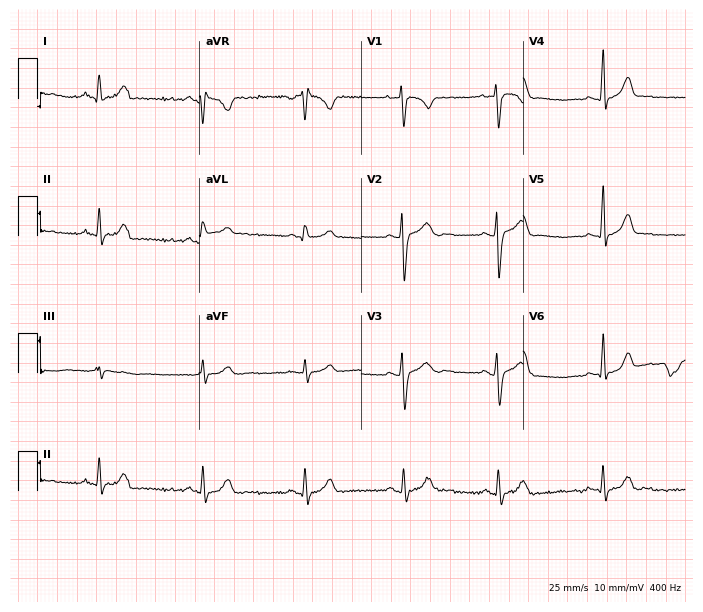
12-lead ECG from a 24-year-old woman. Recorded interpretation: within normal limits.